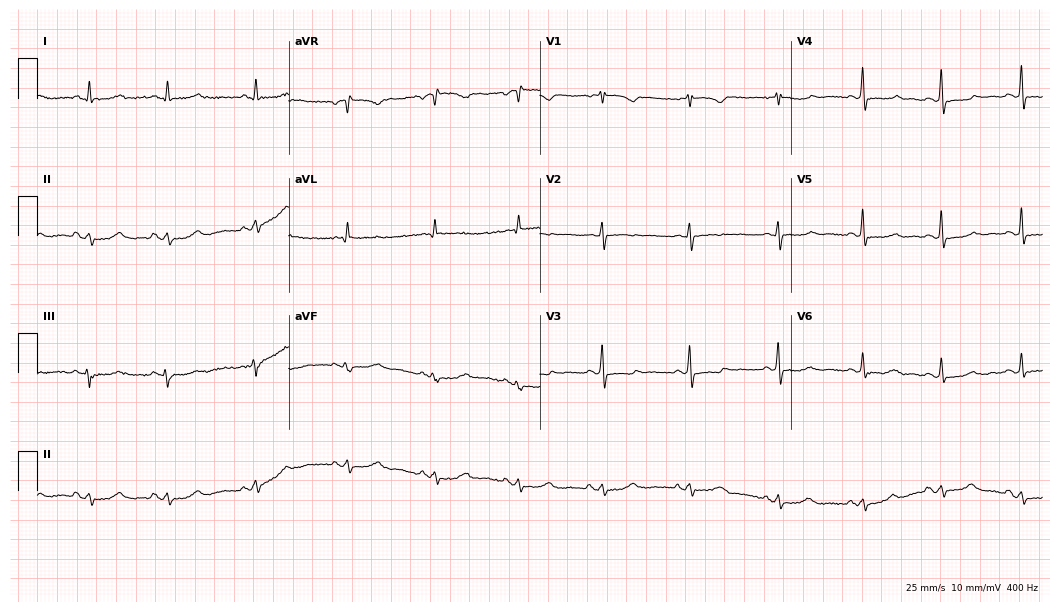
Standard 12-lead ECG recorded from a 57-year-old female patient (10.2-second recording at 400 Hz). None of these six findings is recorded: first-degree AV block, right bundle branch block, left bundle branch block, sinus bradycardia, atrial fibrillation, sinus tachycardia. Findings outside these six are not listed.